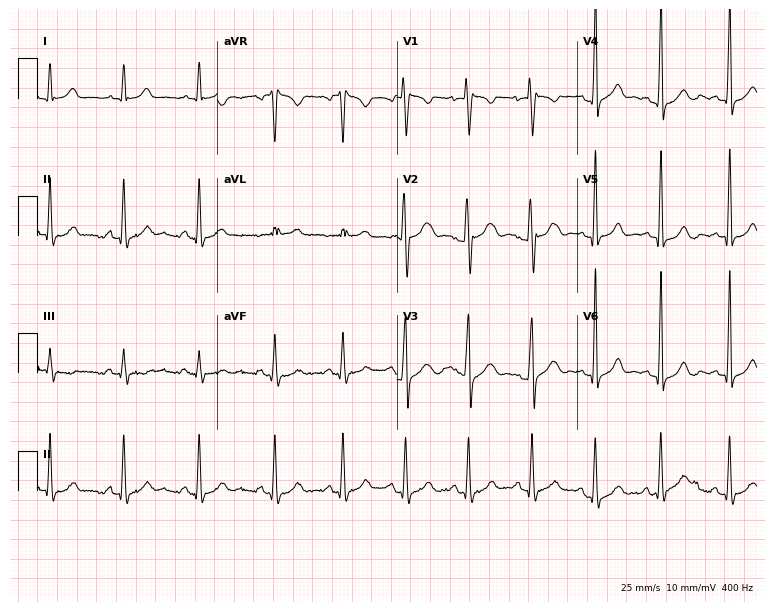
ECG (7.3-second recording at 400 Hz) — a 17-year-old man. Labelled as a normal ECG.